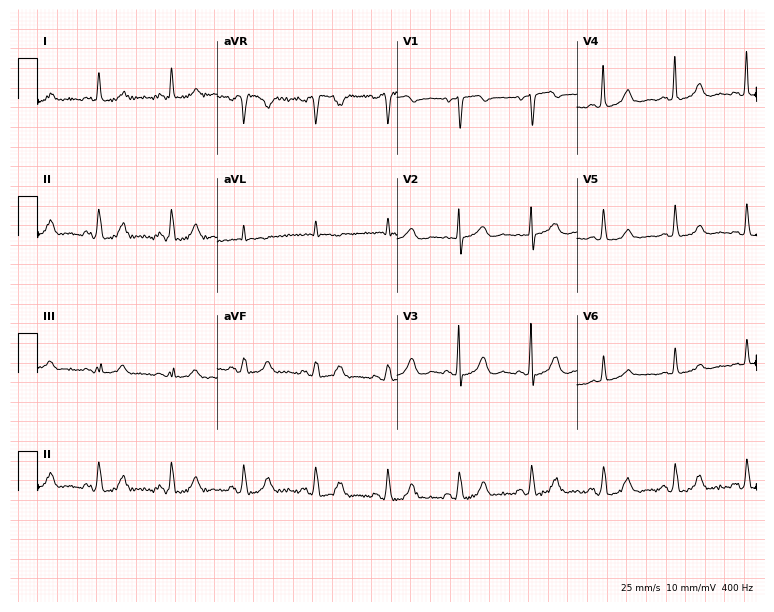
12-lead ECG (7.3-second recording at 400 Hz) from a female patient, 65 years old. Screened for six findings — first-degree AV block, right bundle branch block, left bundle branch block, sinus bradycardia, atrial fibrillation, sinus tachycardia — none is recorded. Findings outside these six are not listed.